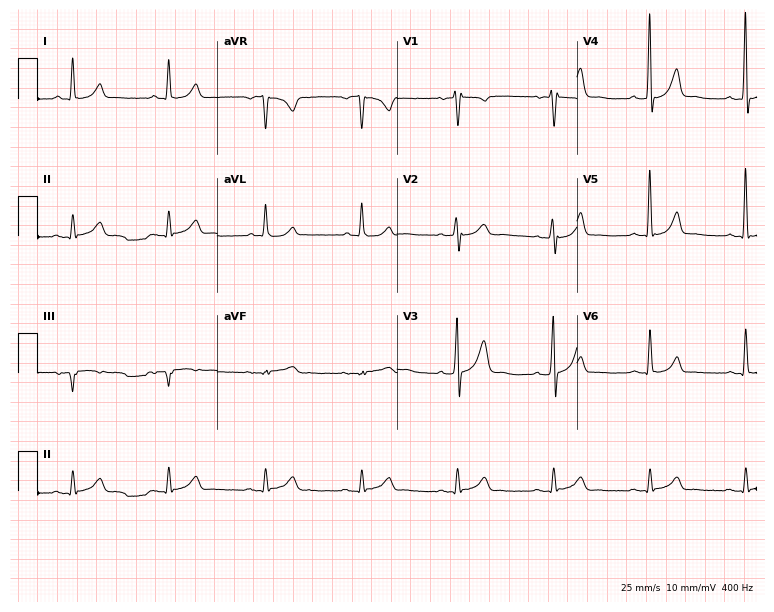
12-lead ECG from a 59-year-old male. Screened for six findings — first-degree AV block, right bundle branch block (RBBB), left bundle branch block (LBBB), sinus bradycardia, atrial fibrillation (AF), sinus tachycardia — none is recorded. Only these six findings were labelled.